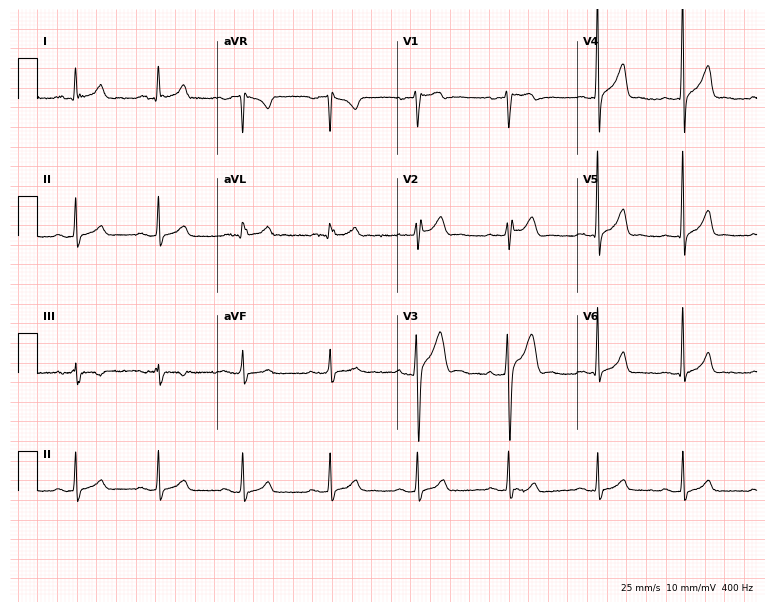
Resting 12-lead electrocardiogram. Patient: a man, 27 years old. Read as a normal ECG.